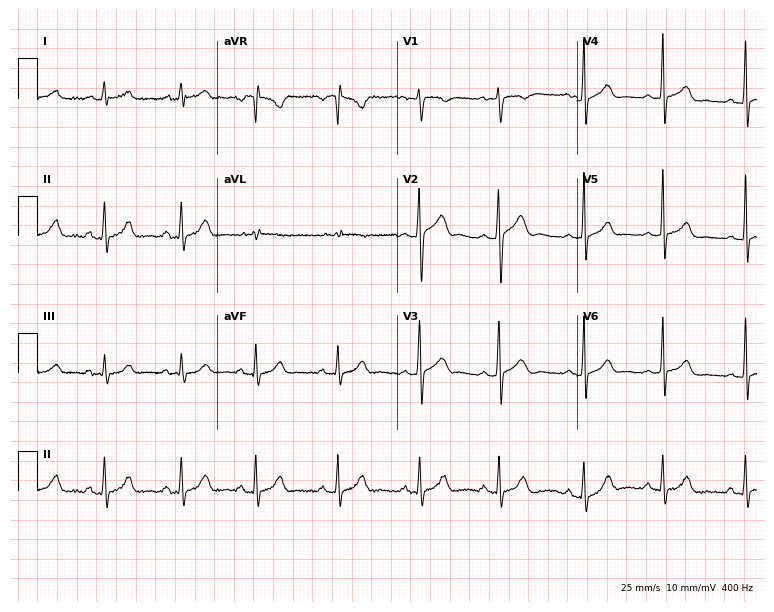
12-lead ECG (7.3-second recording at 400 Hz) from a male patient, 25 years old. Screened for six findings — first-degree AV block, right bundle branch block, left bundle branch block, sinus bradycardia, atrial fibrillation, sinus tachycardia — none is recorded. Findings outside these six are not listed.